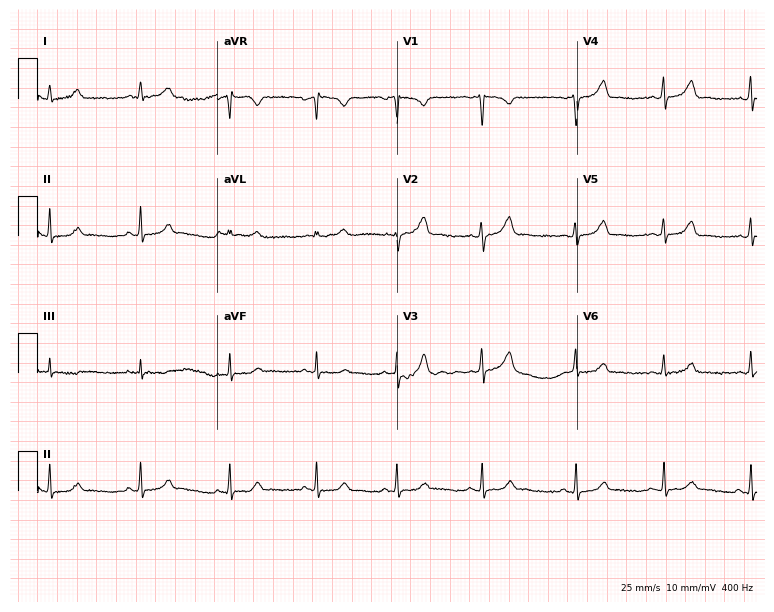
Resting 12-lead electrocardiogram (7.3-second recording at 400 Hz). Patient: a female, 21 years old. Read as a normal ECG.